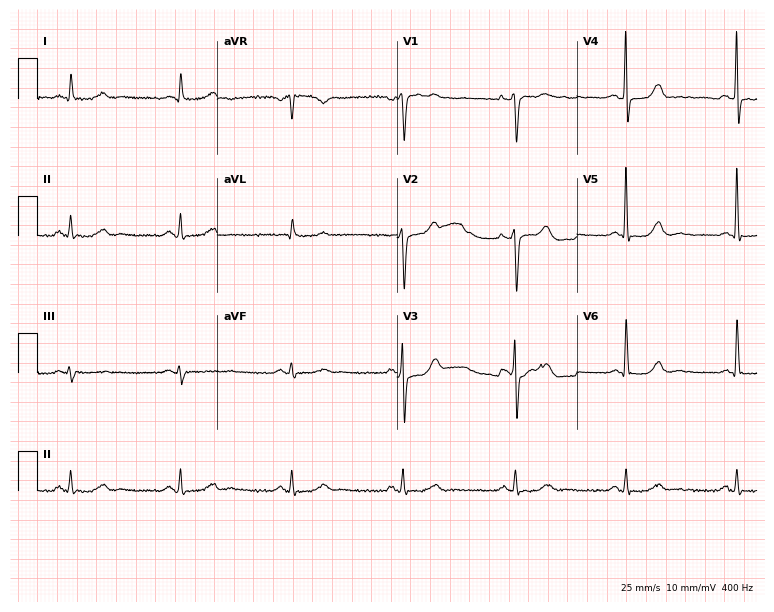
Electrocardiogram (7.3-second recording at 400 Hz), an 82-year-old male patient. Overall reading on record: normal ECG.